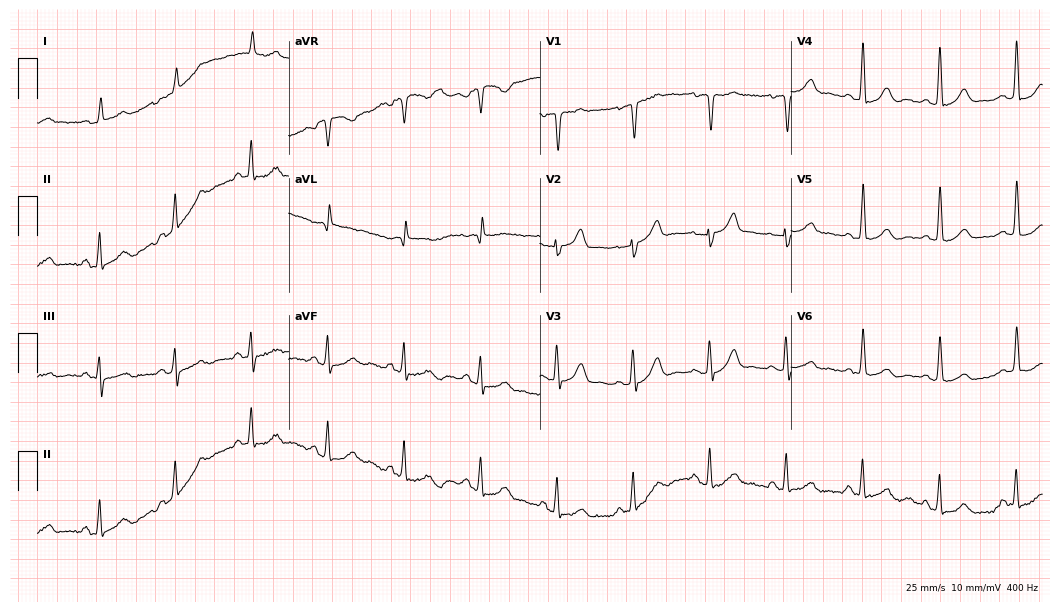
12-lead ECG (10.2-second recording at 400 Hz) from a 77-year-old male patient. Labelled as a normal ECG.